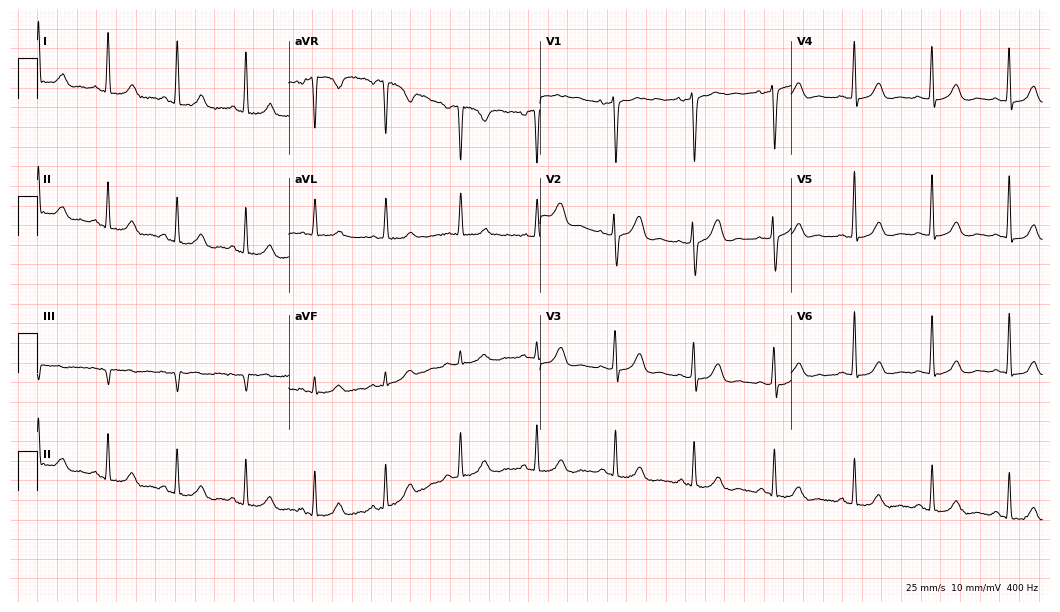
Resting 12-lead electrocardiogram. Patient: a 41-year-old woman. Read as a normal ECG.